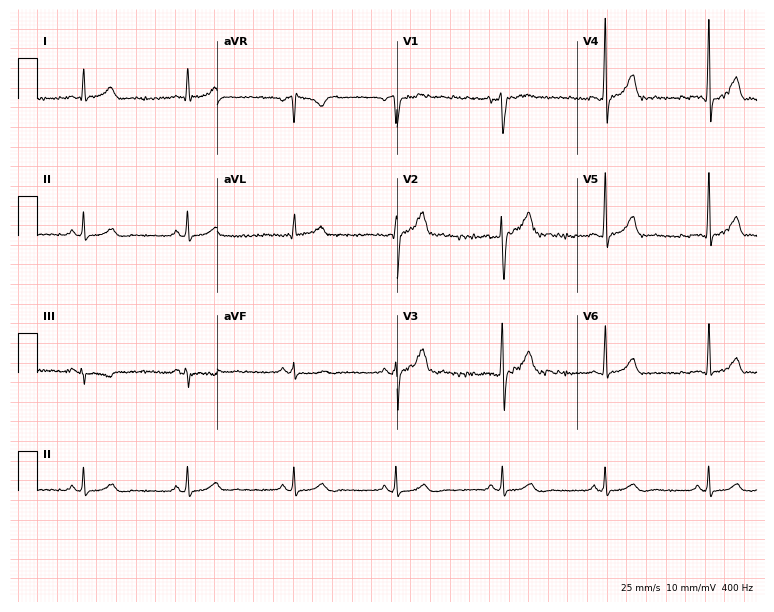
ECG (7.3-second recording at 400 Hz) — a 40-year-old male. Labelled as a normal ECG.